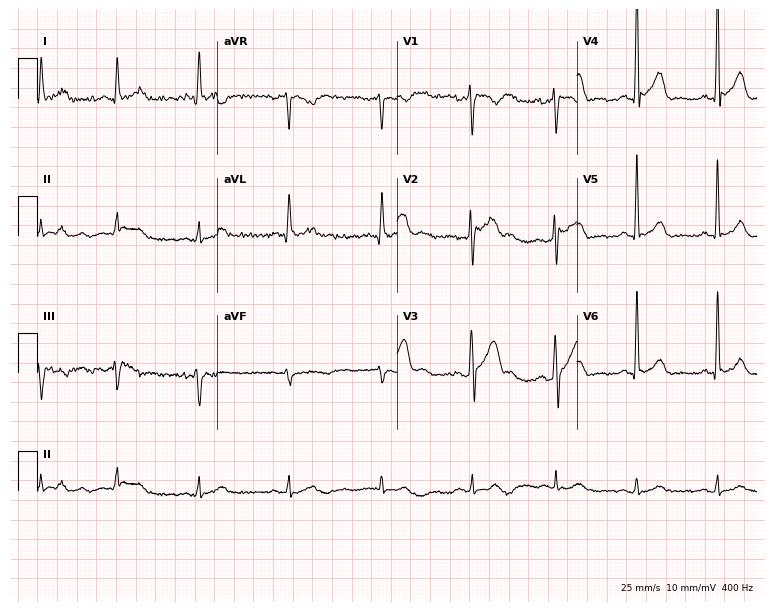
Standard 12-lead ECG recorded from a male, 47 years old. None of these six findings is recorded: first-degree AV block, right bundle branch block, left bundle branch block, sinus bradycardia, atrial fibrillation, sinus tachycardia. Other findings, if any, are not listed.